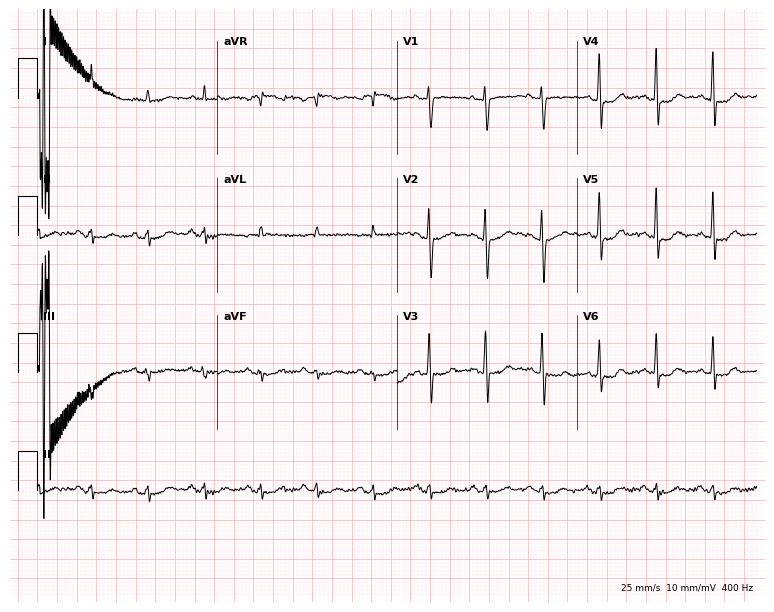
ECG — a man, 77 years old. Screened for six findings — first-degree AV block, right bundle branch block (RBBB), left bundle branch block (LBBB), sinus bradycardia, atrial fibrillation (AF), sinus tachycardia — none is recorded. Only these six findings were labelled.